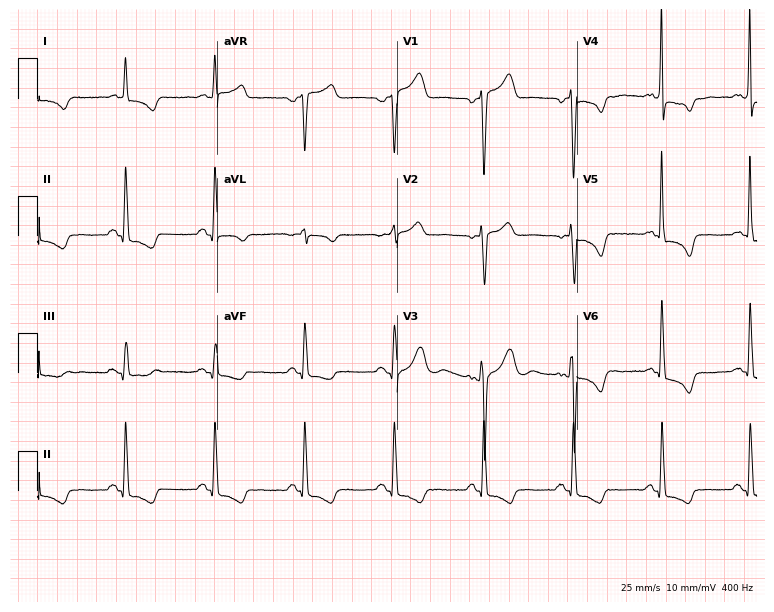
12-lead ECG (7.3-second recording at 400 Hz) from a man, 65 years old. Screened for six findings — first-degree AV block, right bundle branch block (RBBB), left bundle branch block (LBBB), sinus bradycardia, atrial fibrillation (AF), sinus tachycardia — none is recorded.